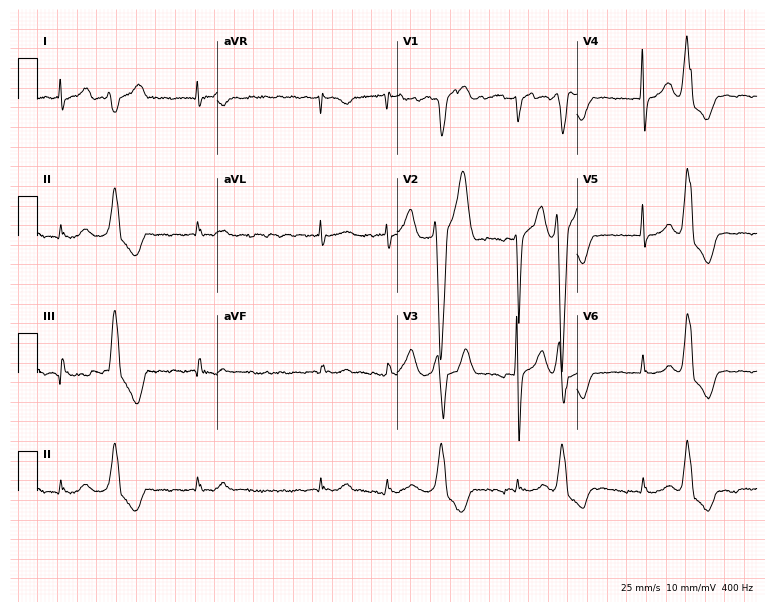
12-lead ECG from a male patient, 57 years old (7.3-second recording at 400 Hz). No first-degree AV block, right bundle branch block, left bundle branch block, sinus bradycardia, atrial fibrillation or sinus tachycardia recorded for this tracing. Findings outside these six are not listed.